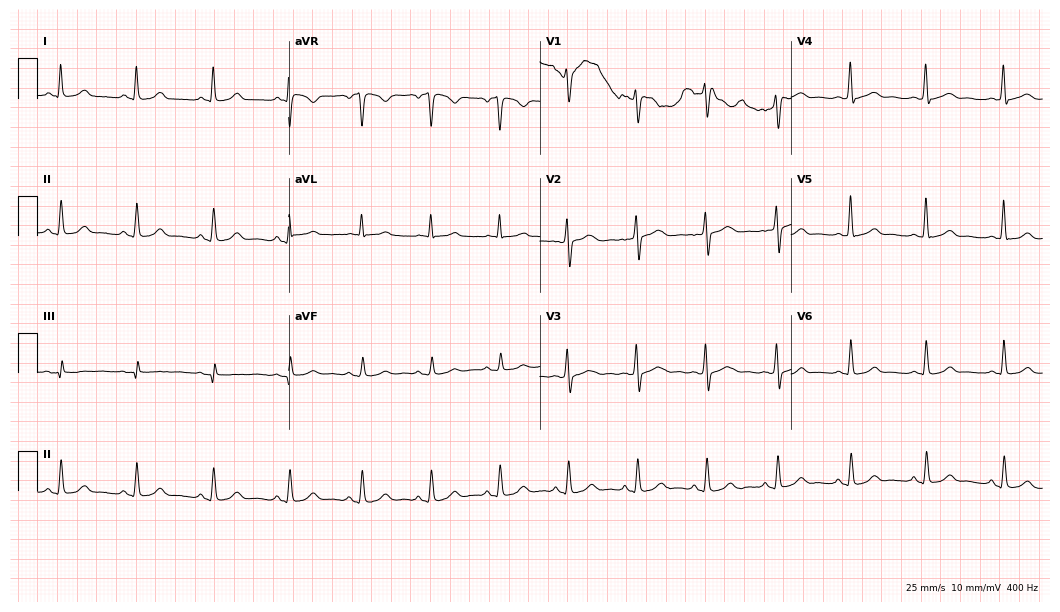
Standard 12-lead ECG recorded from a 44-year-old female patient. Read as a normal ECG.